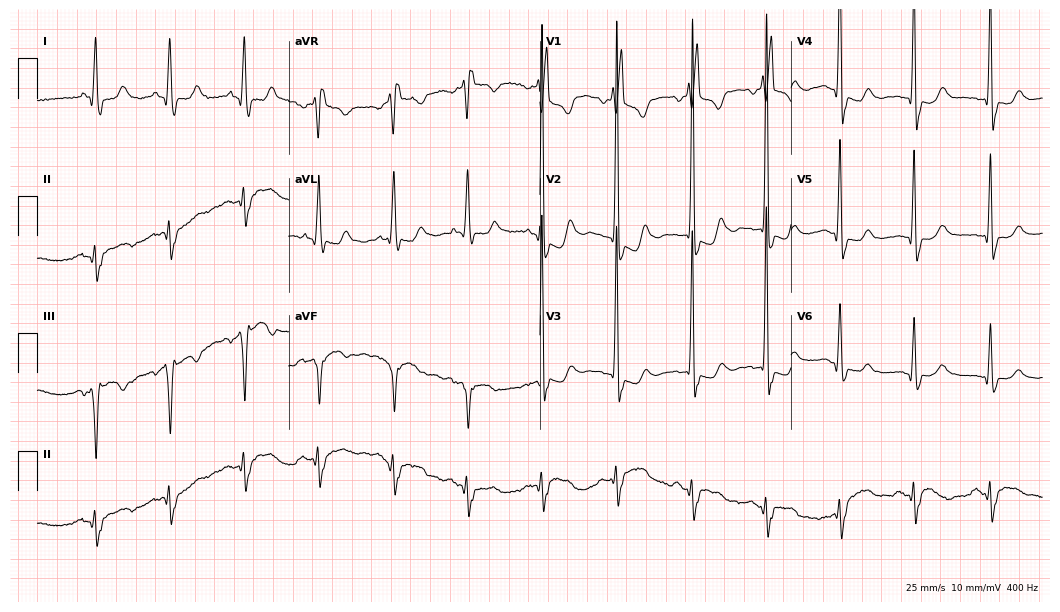
12-lead ECG from a female, 83 years old (10.2-second recording at 400 Hz). No first-degree AV block, right bundle branch block (RBBB), left bundle branch block (LBBB), sinus bradycardia, atrial fibrillation (AF) or sinus tachycardia recorded for this tracing.